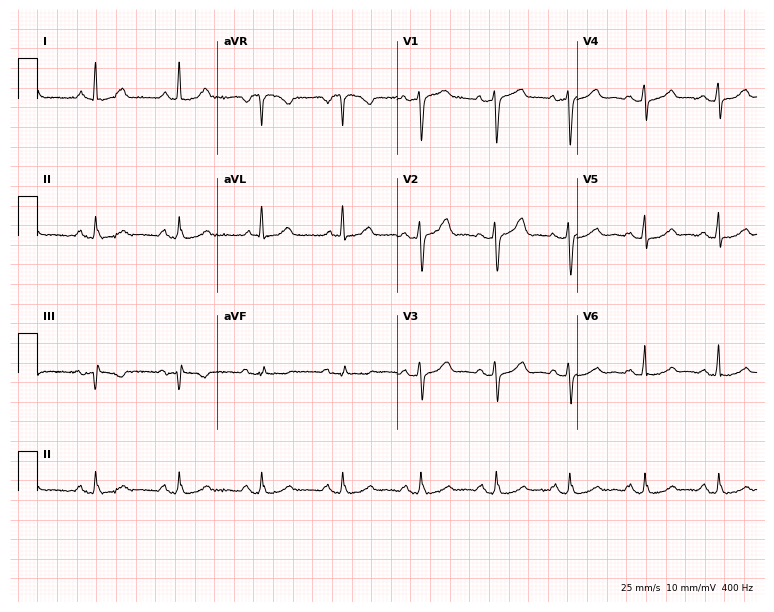
Standard 12-lead ECG recorded from a female, 66 years old (7.3-second recording at 400 Hz). Read as a normal ECG.